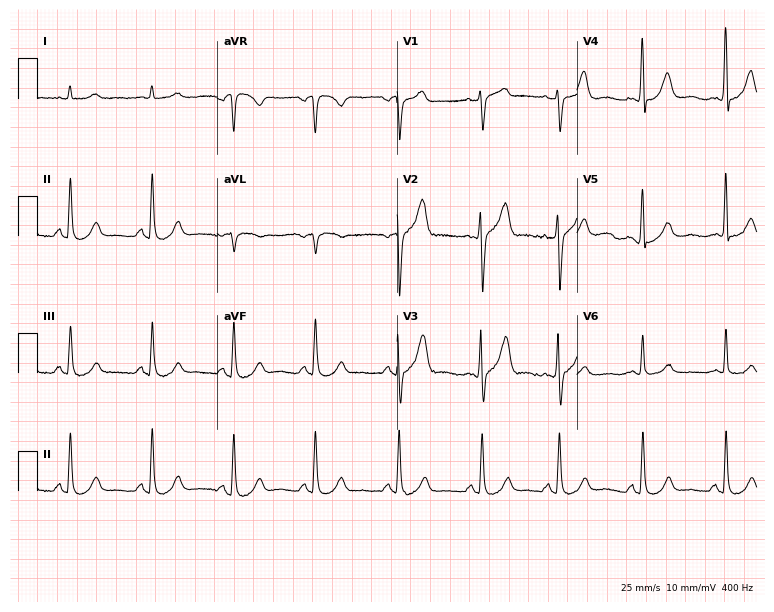
12-lead ECG from an 80-year-old male (7.3-second recording at 400 Hz). Recorded interpretation: within normal limits.